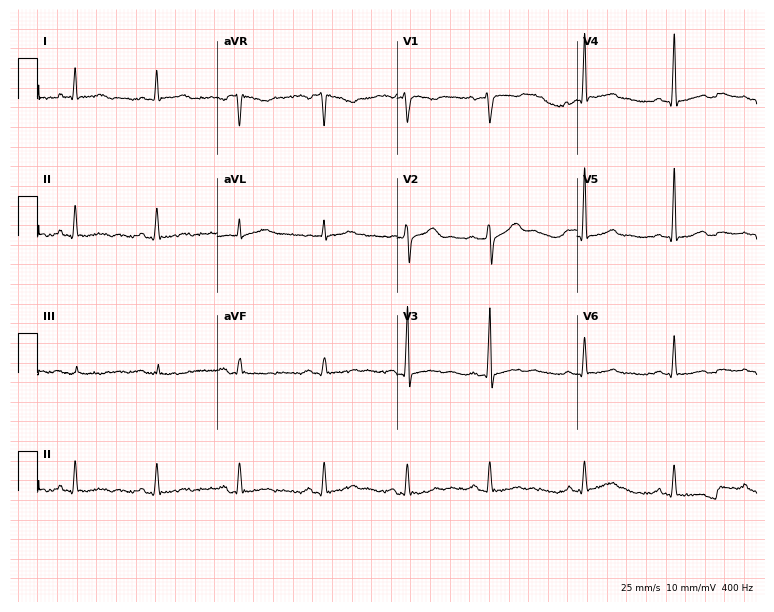
Electrocardiogram, a male, 41 years old. Of the six screened findings (first-degree AV block, right bundle branch block (RBBB), left bundle branch block (LBBB), sinus bradycardia, atrial fibrillation (AF), sinus tachycardia), none is recorded.